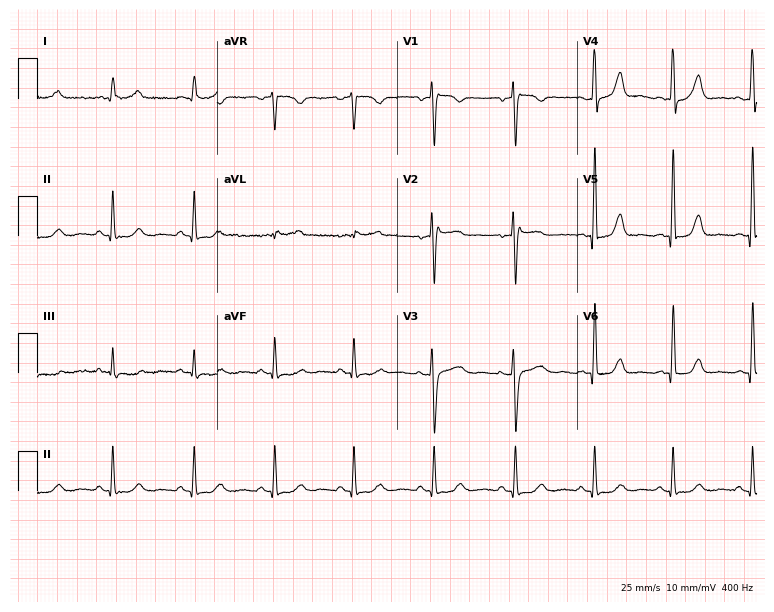
Standard 12-lead ECG recorded from a 50-year-old female (7.3-second recording at 400 Hz). Read as a normal ECG.